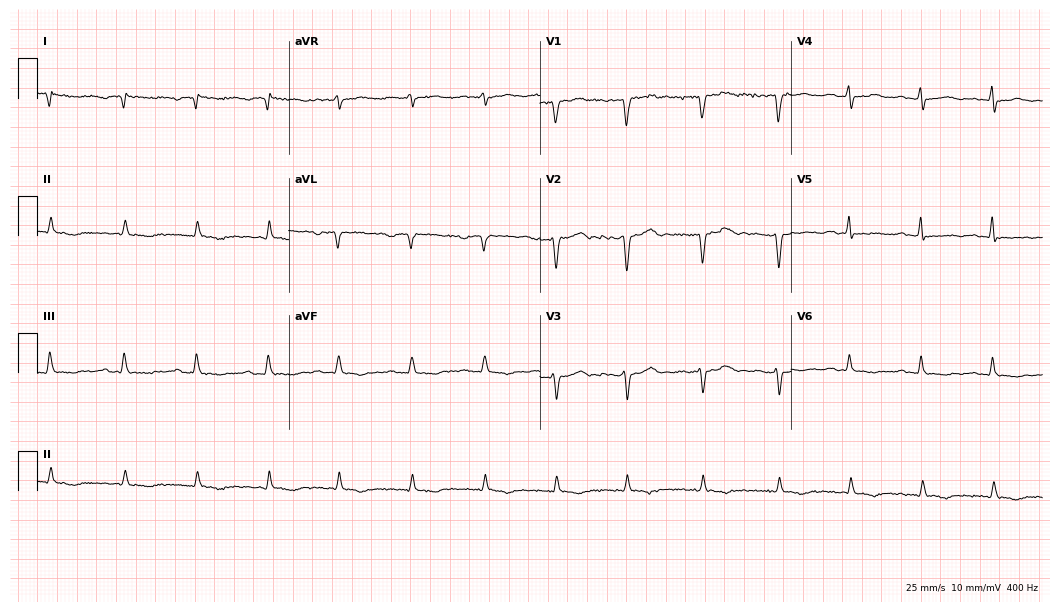
Standard 12-lead ECG recorded from a 34-year-old woman (10.2-second recording at 400 Hz). None of these six findings is recorded: first-degree AV block, right bundle branch block, left bundle branch block, sinus bradycardia, atrial fibrillation, sinus tachycardia.